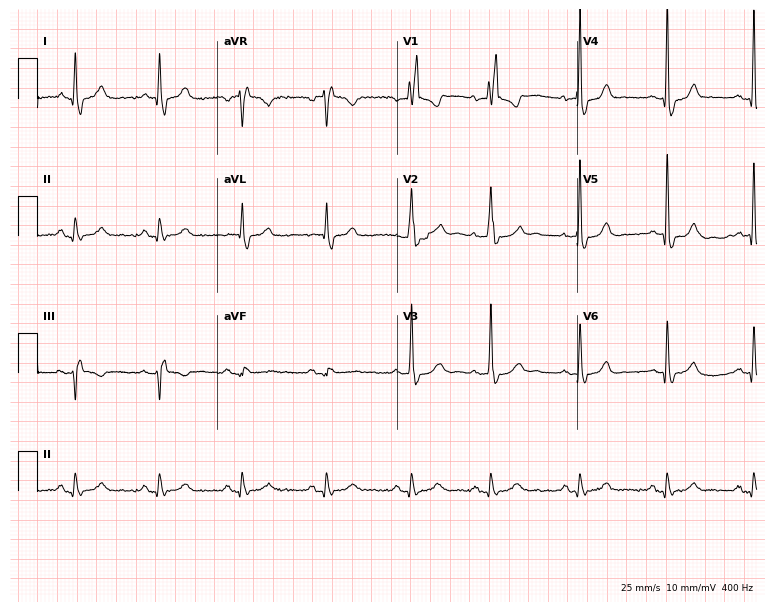
12-lead ECG (7.3-second recording at 400 Hz) from an 85-year-old male patient. Findings include right bundle branch block.